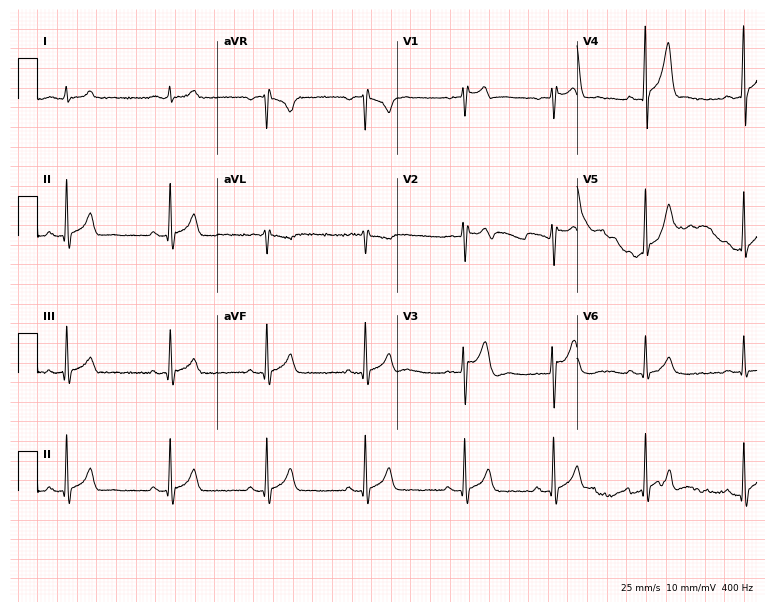
Standard 12-lead ECG recorded from a man, 23 years old (7.3-second recording at 400 Hz). Read as a normal ECG.